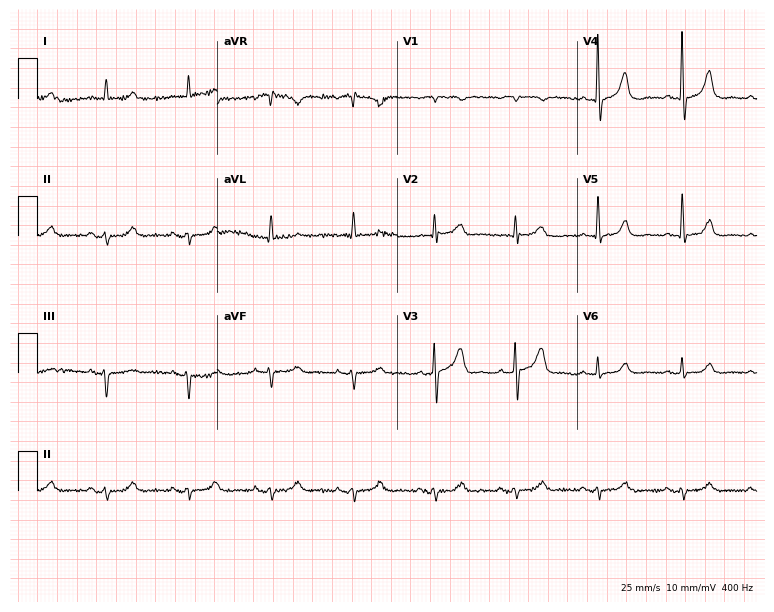
12-lead ECG from a male, 80 years old (7.3-second recording at 400 Hz). No first-degree AV block, right bundle branch block (RBBB), left bundle branch block (LBBB), sinus bradycardia, atrial fibrillation (AF) or sinus tachycardia recorded for this tracing. Only these six findings were labelled.